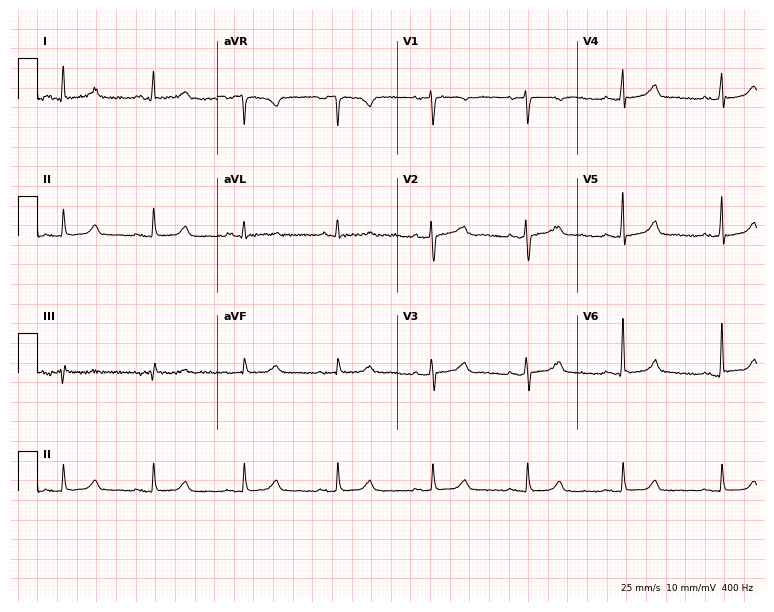
12-lead ECG from a woman, 37 years old. Screened for six findings — first-degree AV block, right bundle branch block, left bundle branch block, sinus bradycardia, atrial fibrillation, sinus tachycardia — none is recorded.